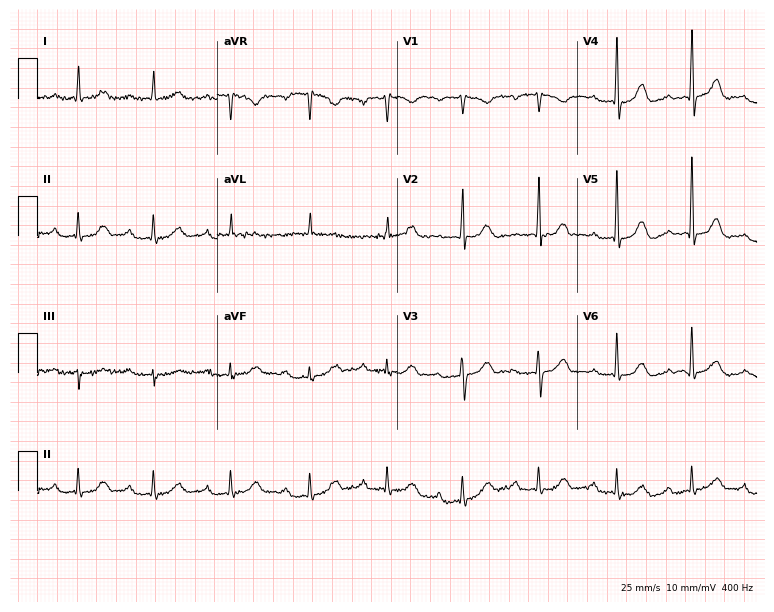
12-lead ECG from a female patient, 28 years old. Shows first-degree AV block.